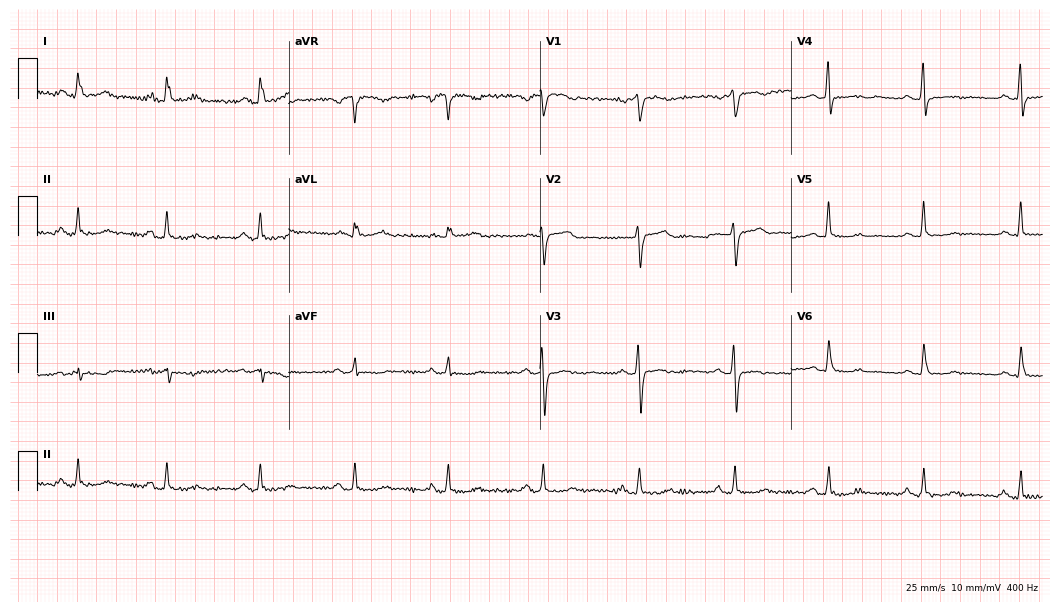
Electrocardiogram, a woman, 62 years old. Of the six screened findings (first-degree AV block, right bundle branch block, left bundle branch block, sinus bradycardia, atrial fibrillation, sinus tachycardia), none is recorded. Only these six findings were labelled.